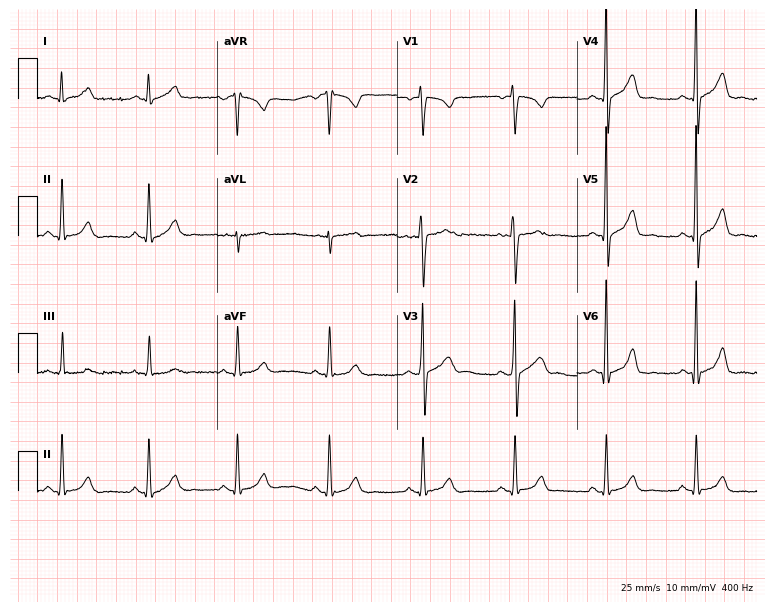
Resting 12-lead electrocardiogram (7.3-second recording at 400 Hz). Patient: a 33-year-old man. Read as a normal ECG.